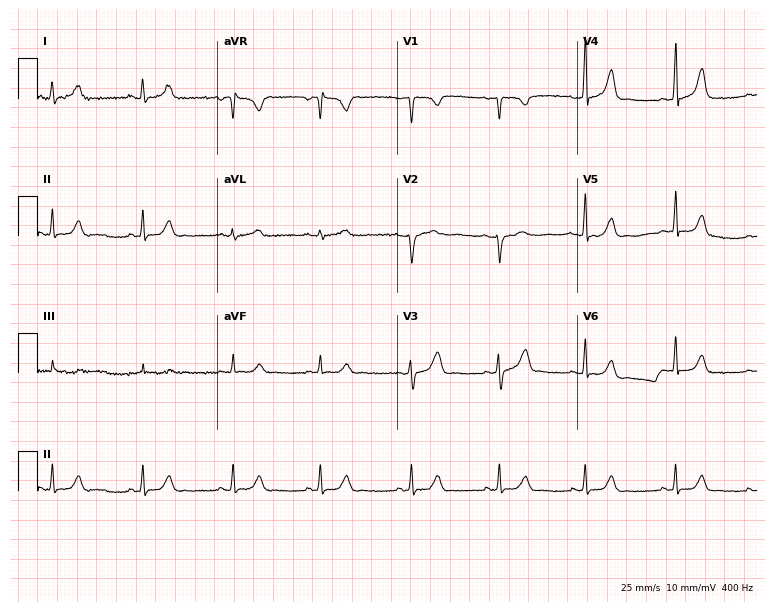
Electrocardiogram (7.3-second recording at 400 Hz), a 23-year-old female. Of the six screened findings (first-degree AV block, right bundle branch block (RBBB), left bundle branch block (LBBB), sinus bradycardia, atrial fibrillation (AF), sinus tachycardia), none is recorded.